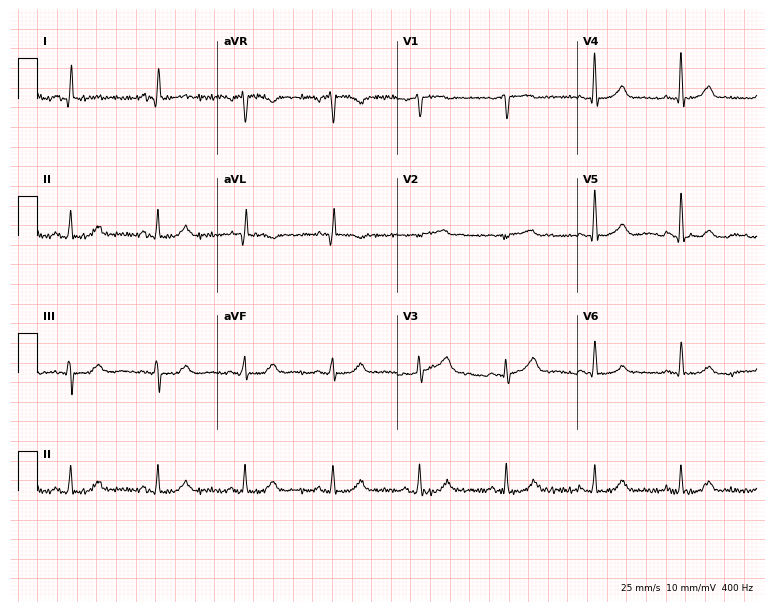
12-lead ECG from a 67-year-old female (7.3-second recording at 400 Hz). Recorded interpretation: within normal limits.